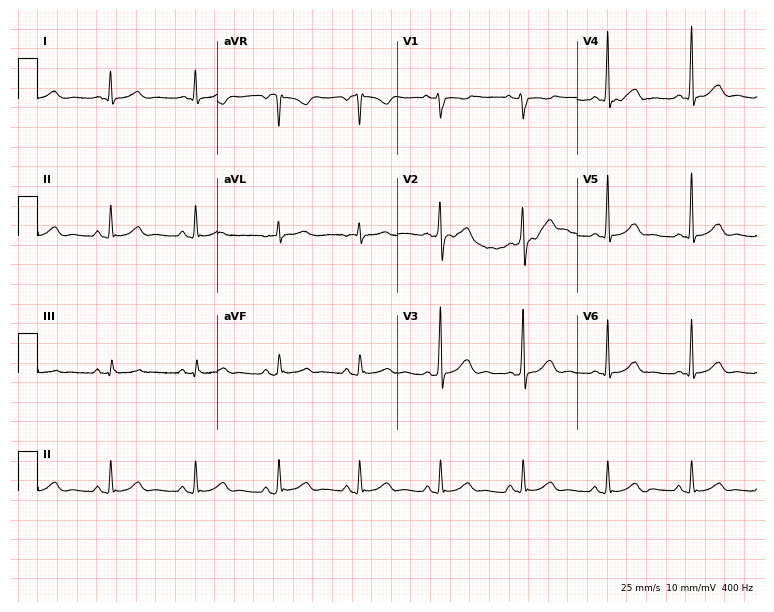
ECG (7.3-second recording at 400 Hz) — a 40-year-old male patient. Labelled as a normal ECG.